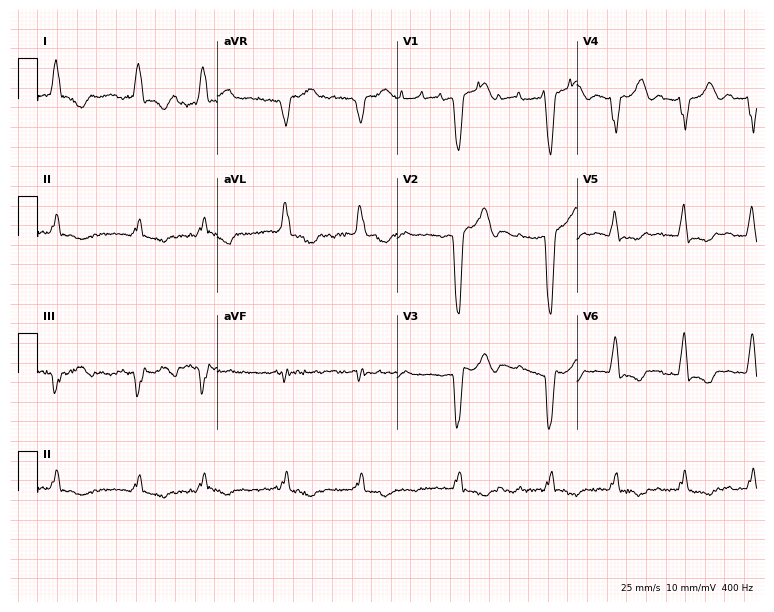
12-lead ECG from a woman, 78 years old. Findings include left bundle branch block, atrial fibrillation.